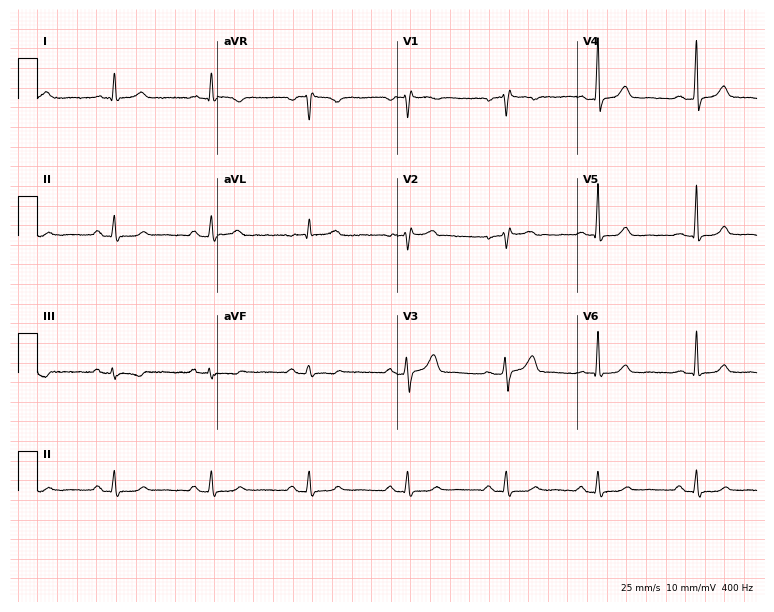
Electrocardiogram (7.3-second recording at 400 Hz), a 51-year-old female patient. Of the six screened findings (first-degree AV block, right bundle branch block (RBBB), left bundle branch block (LBBB), sinus bradycardia, atrial fibrillation (AF), sinus tachycardia), none is recorded. Other findings, if any, are not listed.